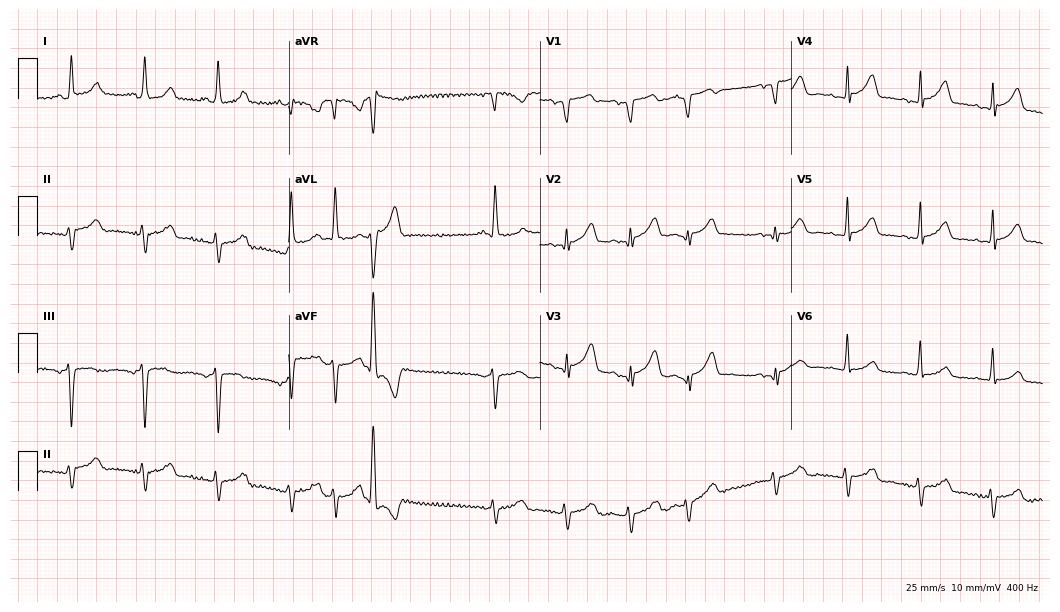
Standard 12-lead ECG recorded from a woman, 73 years old (10.2-second recording at 400 Hz). None of these six findings is recorded: first-degree AV block, right bundle branch block (RBBB), left bundle branch block (LBBB), sinus bradycardia, atrial fibrillation (AF), sinus tachycardia. Other findings, if any, are not listed.